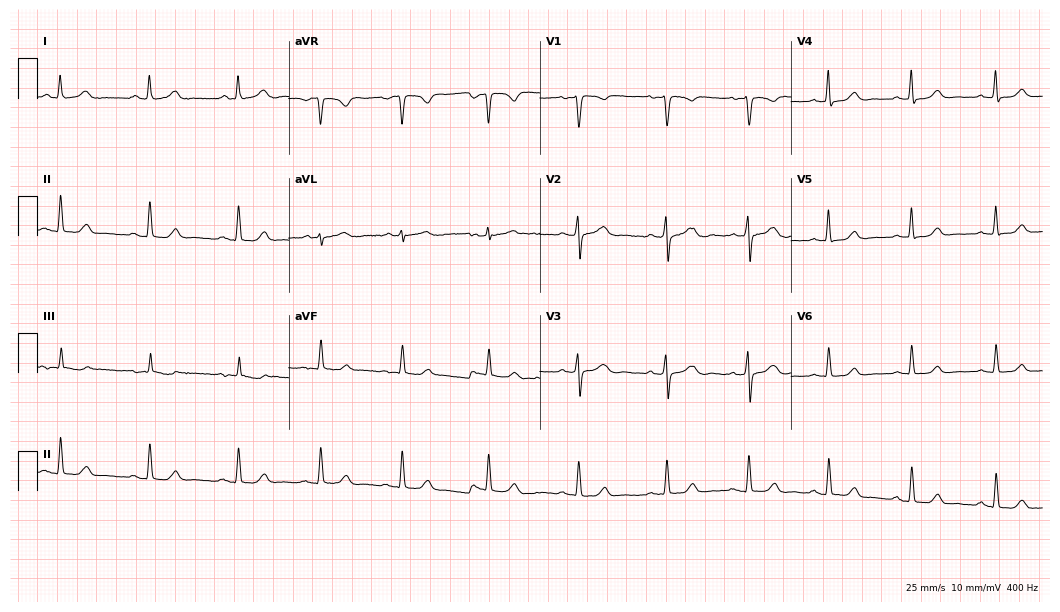
Electrocardiogram (10.2-second recording at 400 Hz), a female, 42 years old. Overall reading on record: normal ECG.